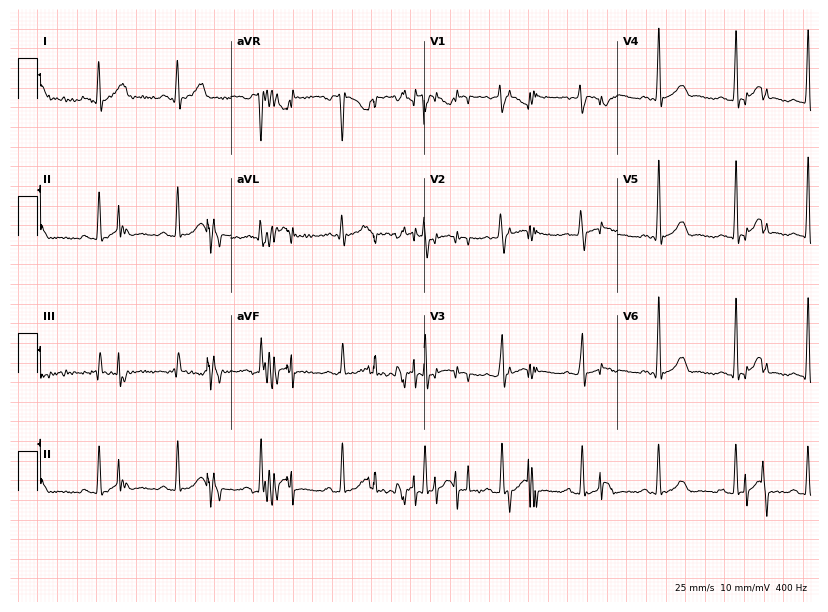
ECG — a 24-year-old female patient. Screened for six findings — first-degree AV block, right bundle branch block, left bundle branch block, sinus bradycardia, atrial fibrillation, sinus tachycardia — none is recorded.